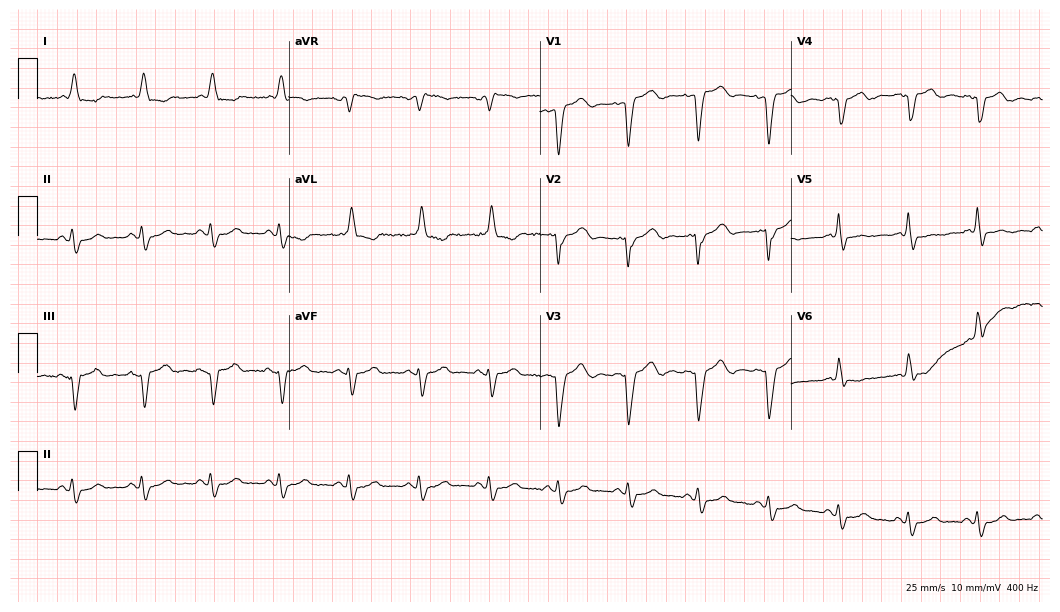
12-lead ECG from a 78-year-old female patient (10.2-second recording at 400 Hz). Shows left bundle branch block (LBBB).